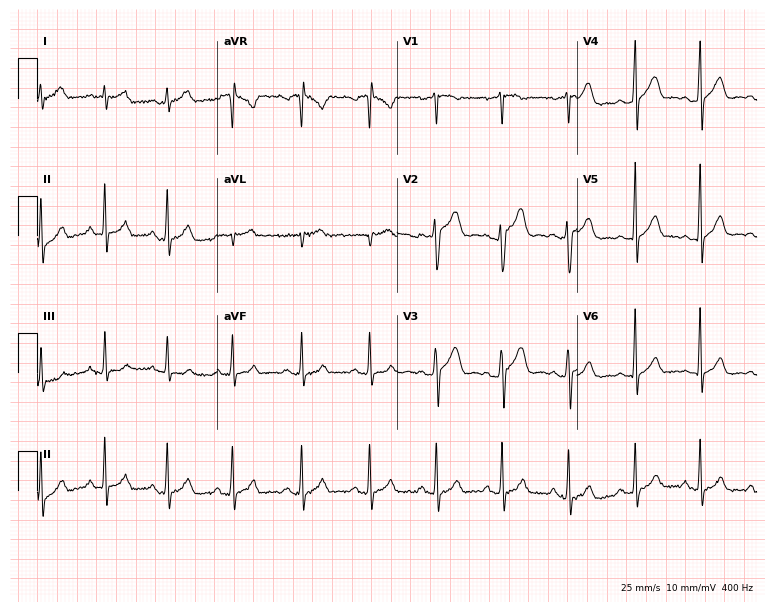
Electrocardiogram (7.3-second recording at 400 Hz), a 33-year-old male patient. Of the six screened findings (first-degree AV block, right bundle branch block, left bundle branch block, sinus bradycardia, atrial fibrillation, sinus tachycardia), none is recorded. Findings outside these six are not listed.